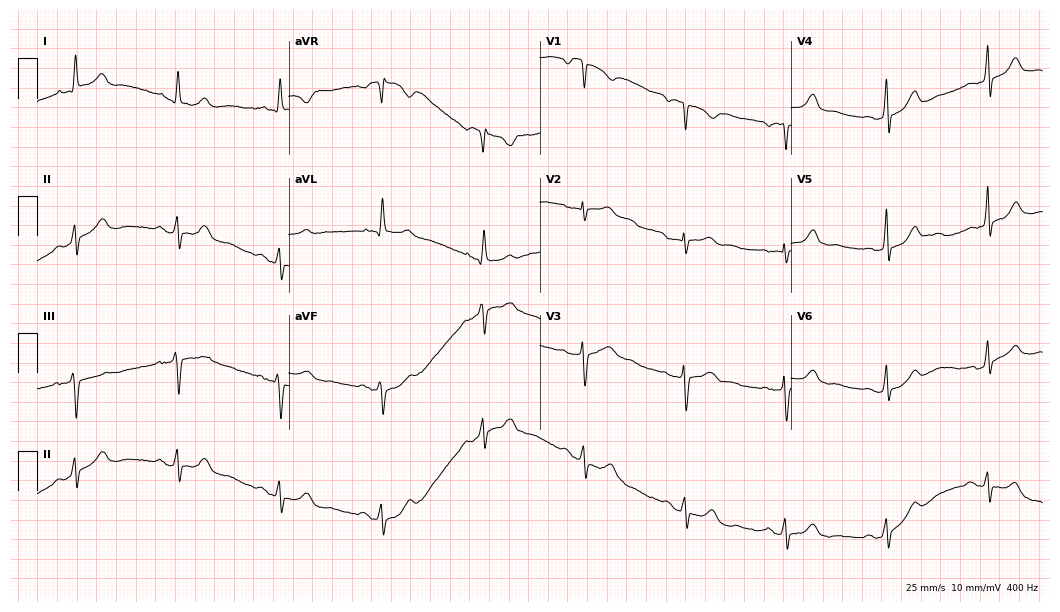
Standard 12-lead ECG recorded from a male patient, 67 years old (10.2-second recording at 400 Hz). Read as a normal ECG.